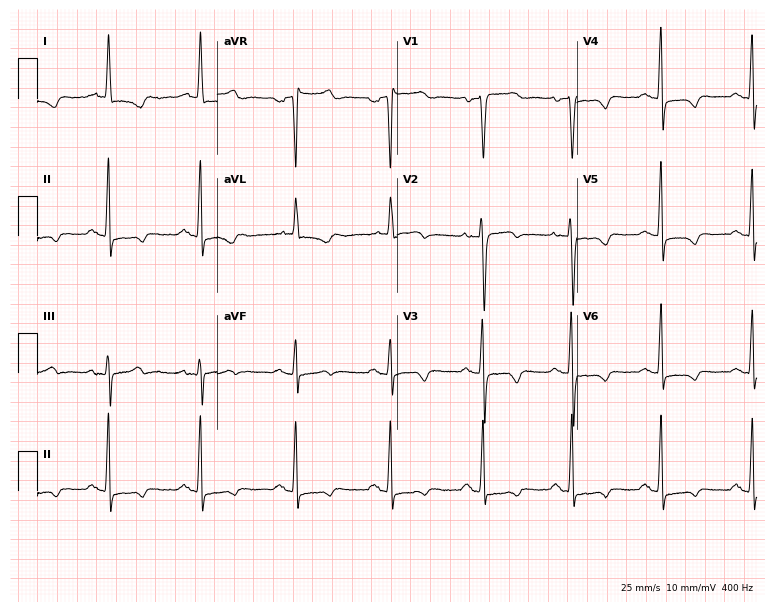
12-lead ECG (7.3-second recording at 400 Hz) from a female patient, 60 years old. Screened for six findings — first-degree AV block, right bundle branch block, left bundle branch block, sinus bradycardia, atrial fibrillation, sinus tachycardia — none is recorded.